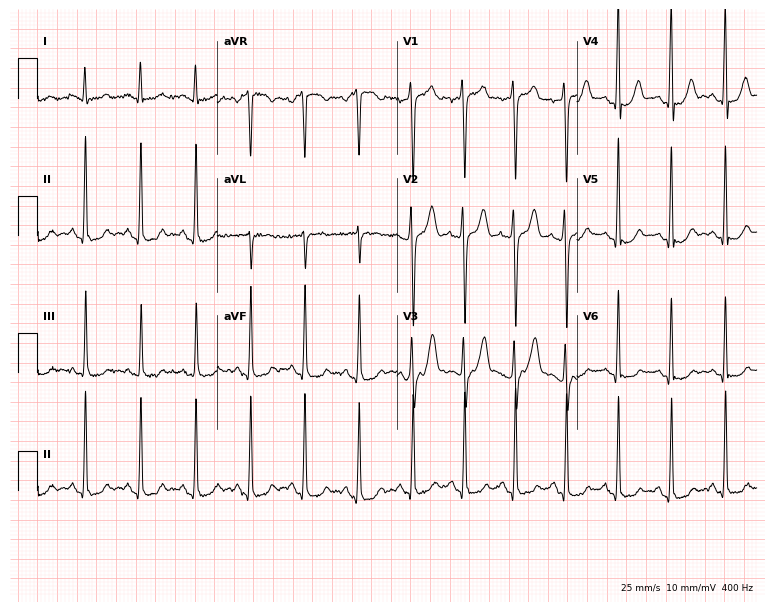
Electrocardiogram, a 20-year-old man. Of the six screened findings (first-degree AV block, right bundle branch block, left bundle branch block, sinus bradycardia, atrial fibrillation, sinus tachycardia), none is recorded.